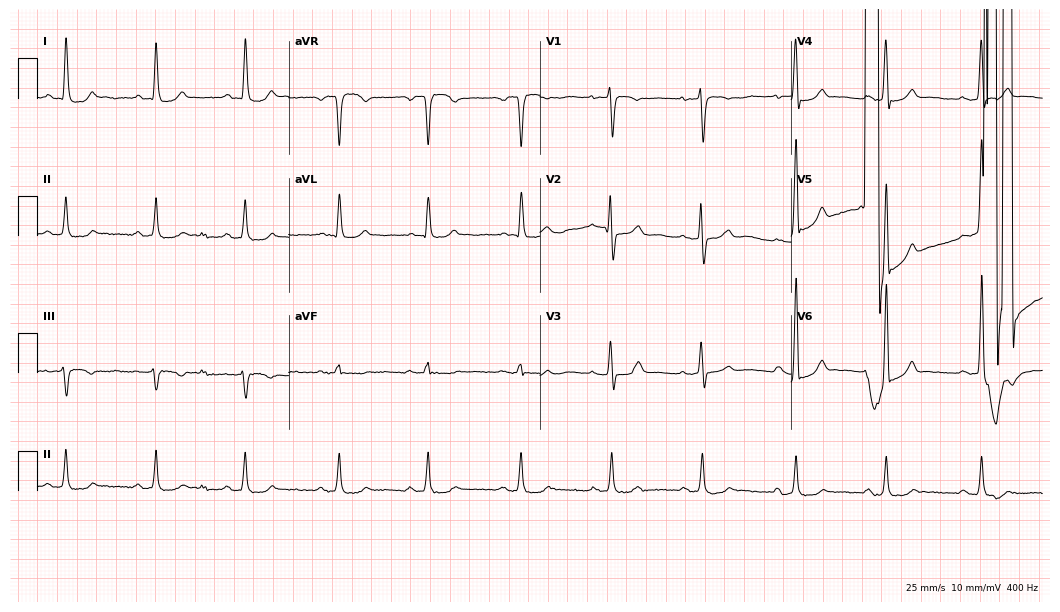
Electrocardiogram, a 45-year-old male patient. Of the six screened findings (first-degree AV block, right bundle branch block (RBBB), left bundle branch block (LBBB), sinus bradycardia, atrial fibrillation (AF), sinus tachycardia), none is recorded.